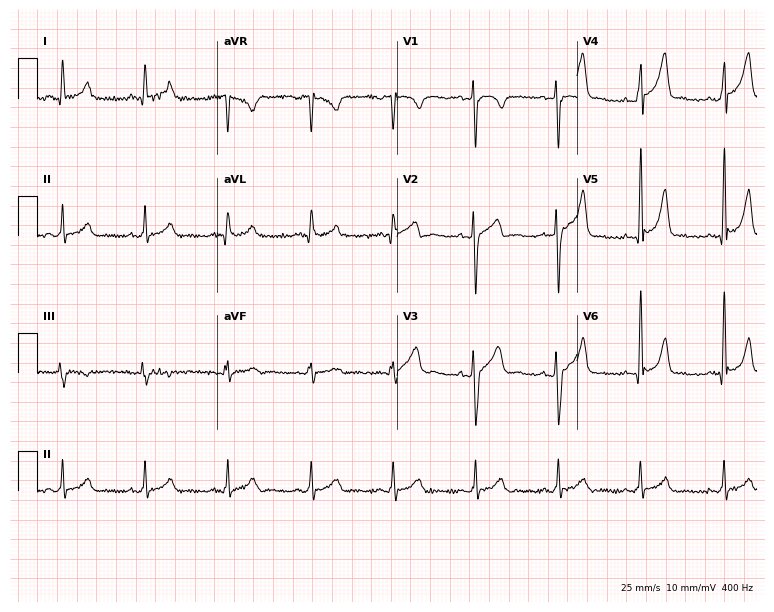
ECG (7.3-second recording at 400 Hz) — a 32-year-old male. Labelled as a normal ECG.